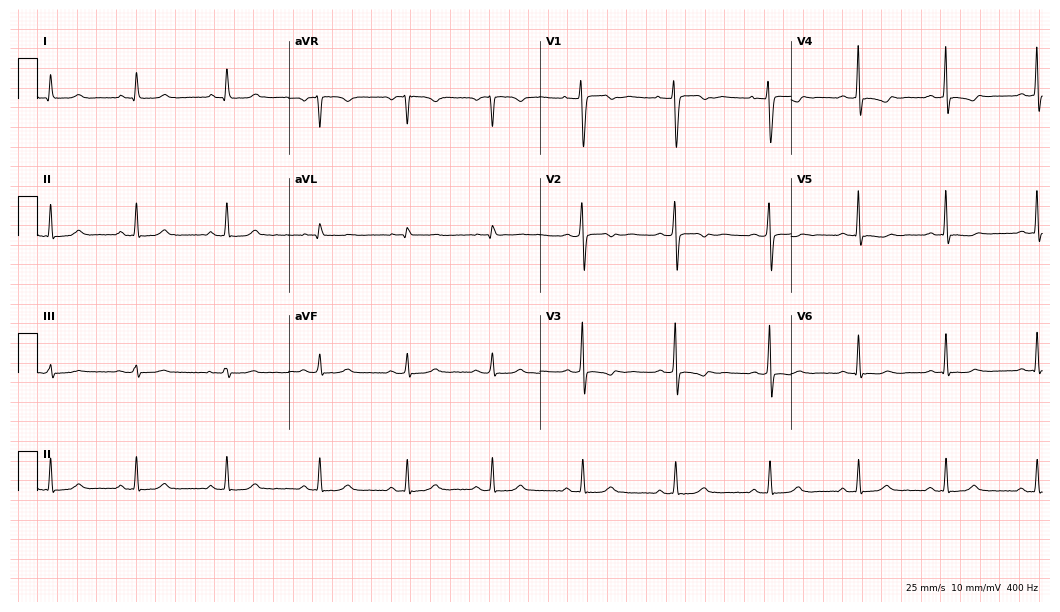
Standard 12-lead ECG recorded from a female, 38 years old. None of these six findings is recorded: first-degree AV block, right bundle branch block, left bundle branch block, sinus bradycardia, atrial fibrillation, sinus tachycardia. Other findings, if any, are not listed.